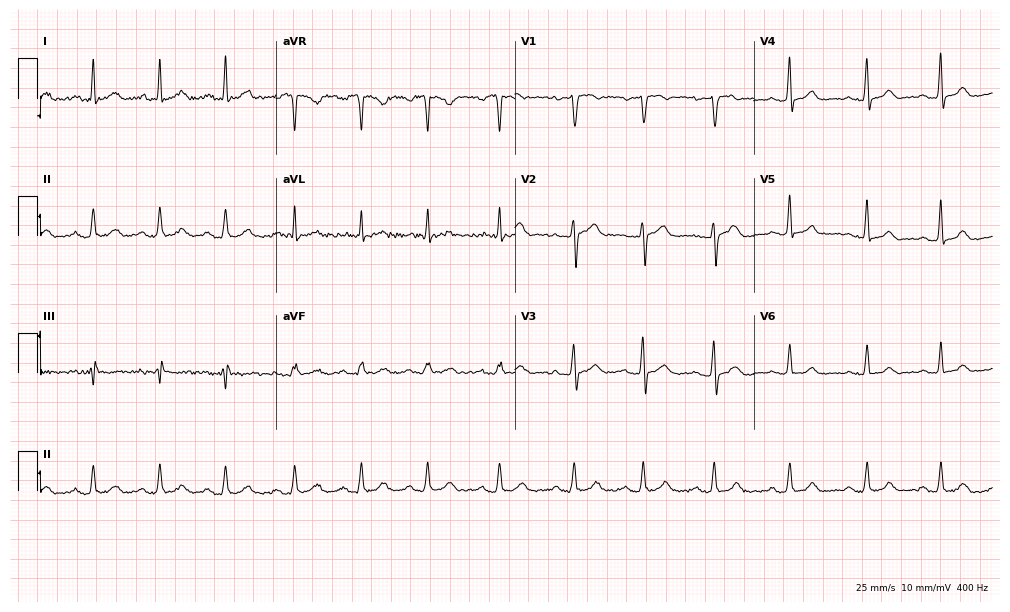
Standard 12-lead ECG recorded from a woman, 30 years old (9.7-second recording at 400 Hz). Read as a normal ECG.